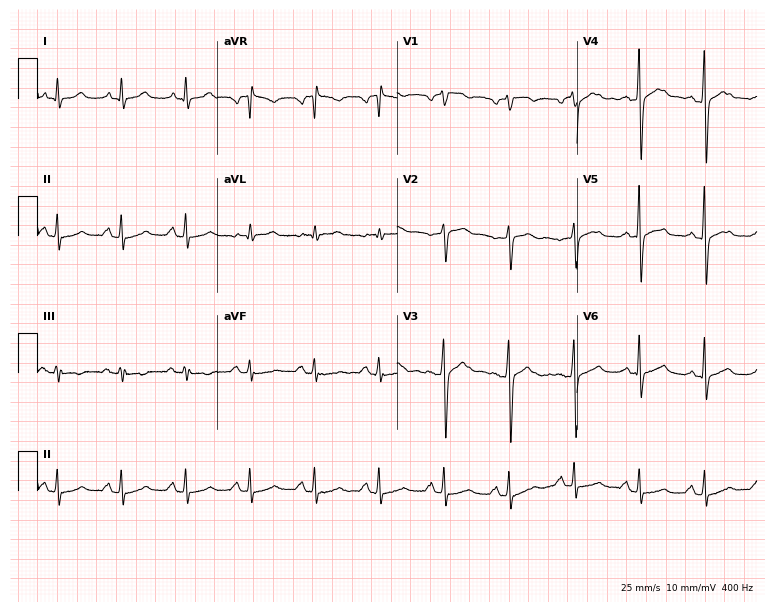
Standard 12-lead ECG recorded from a 52-year-old male patient (7.3-second recording at 400 Hz). Read as a normal ECG.